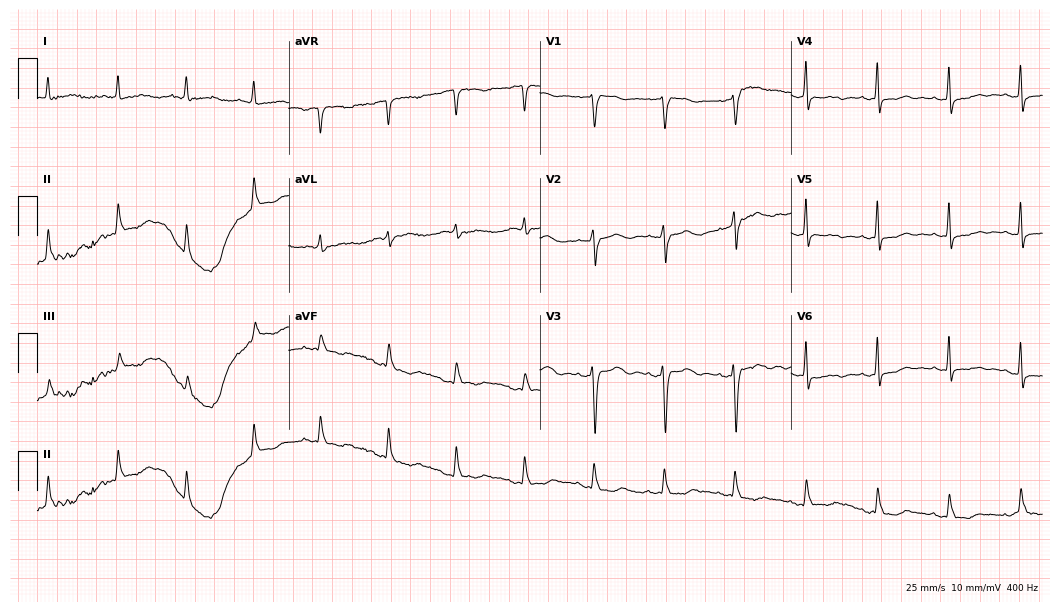
Electrocardiogram (10.2-second recording at 400 Hz), a female patient, 81 years old. Of the six screened findings (first-degree AV block, right bundle branch block, left bundle branch block, sinus bradycardia, atrial fibrillation, sinus tachycardia), none is recorded. Only these six findings were labelled.